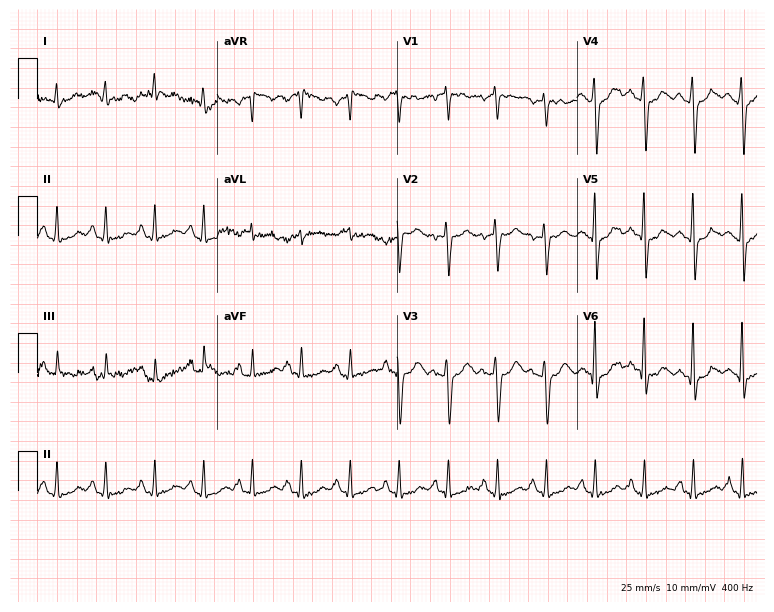
12-lead ECG from a 54-year-old woman. Shows sinus tachycardia (a sinus rate of 100 beats per minute or more).